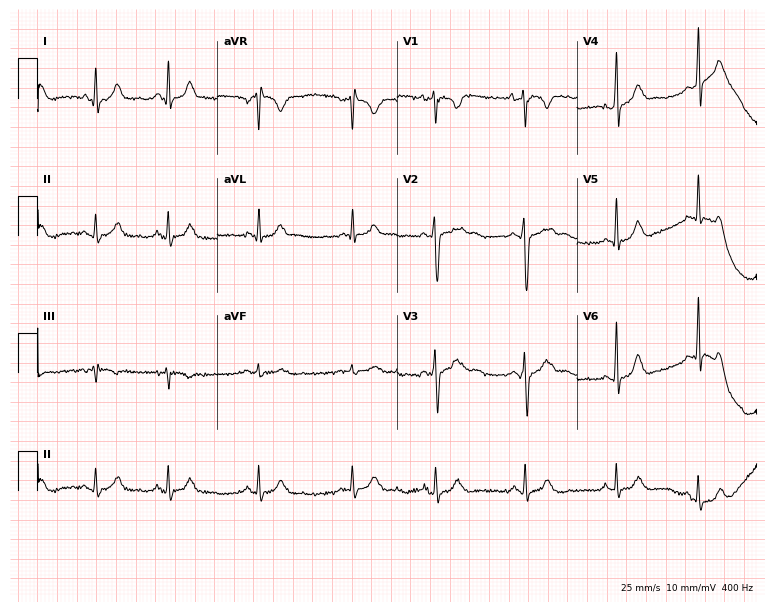
12-lead ECG (7.3-second recording at 400 Hz) from an 18-year-old female. Labelled as a normal ECG.